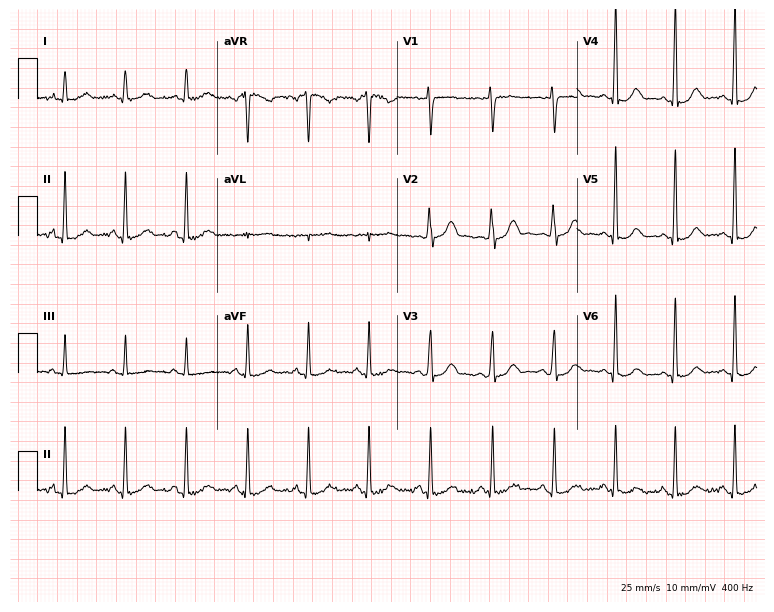
Standard 12-lead ECG recorded from a 32-year-old woman. None of these six findings is recorded: first-degree AV block, right bundle branch block, left bundle branch block, sinus bradycardia, atrial fibrillation, sinus tachycardia.